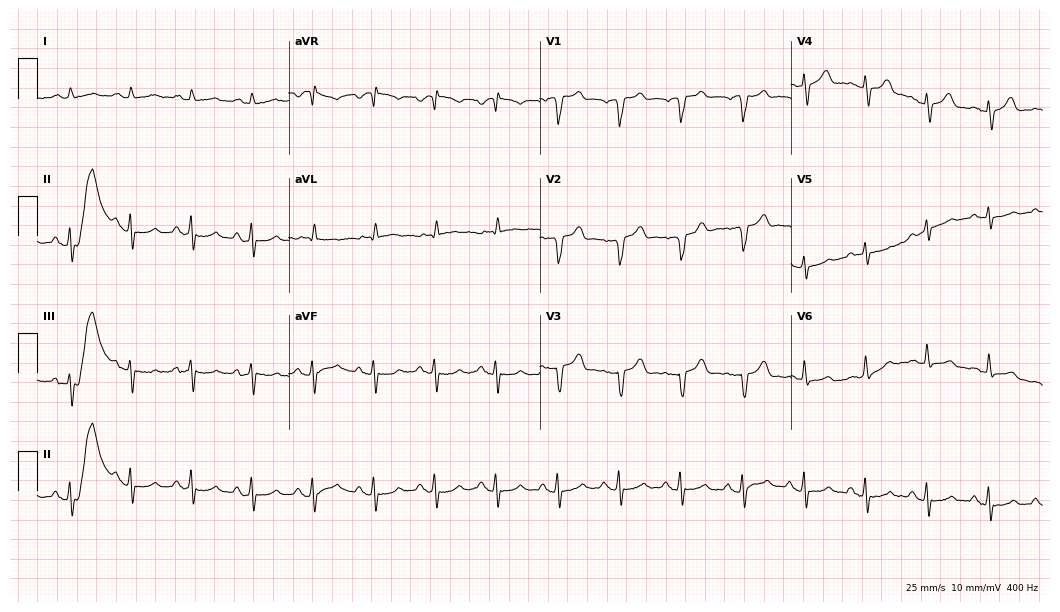
Standard 12-lead ECG recorded from a 77-year-old man. Read as a normal ECG.